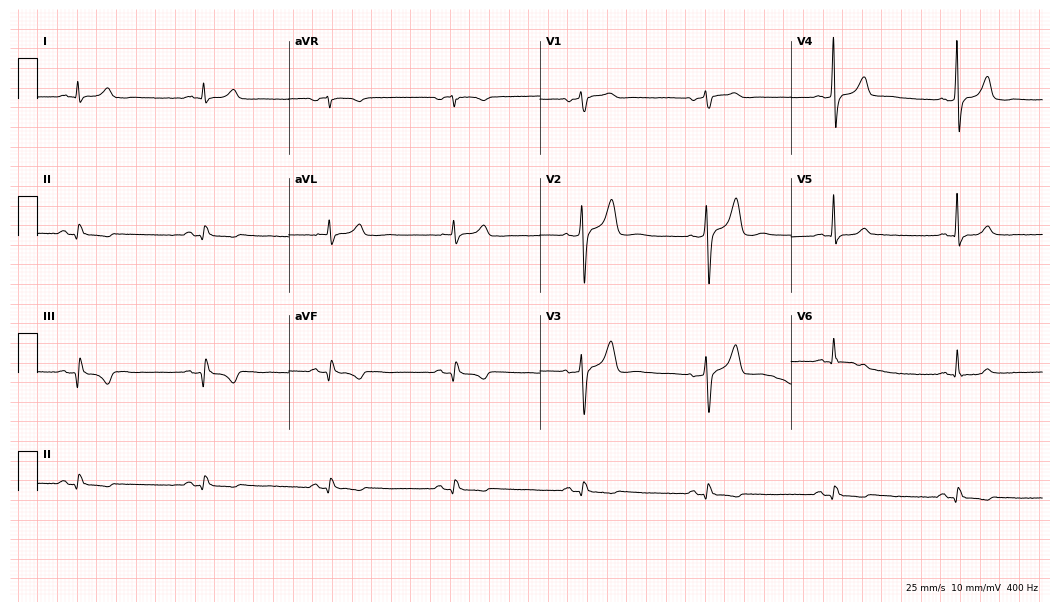
Resting 12-lead electrocardiogram. Patient: a 74-year-old man. The tracing shows sinus bradycardia (a sinus rate of 50 beats per minute or less).